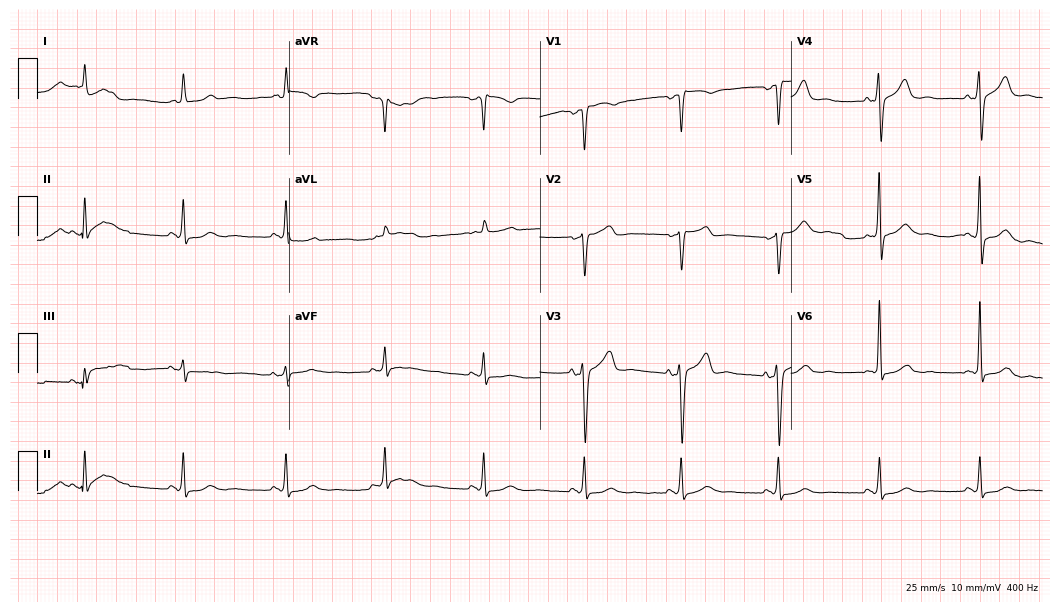
12-lead ECG from a male patient, 75 years old. Labelled as a normal ECG.